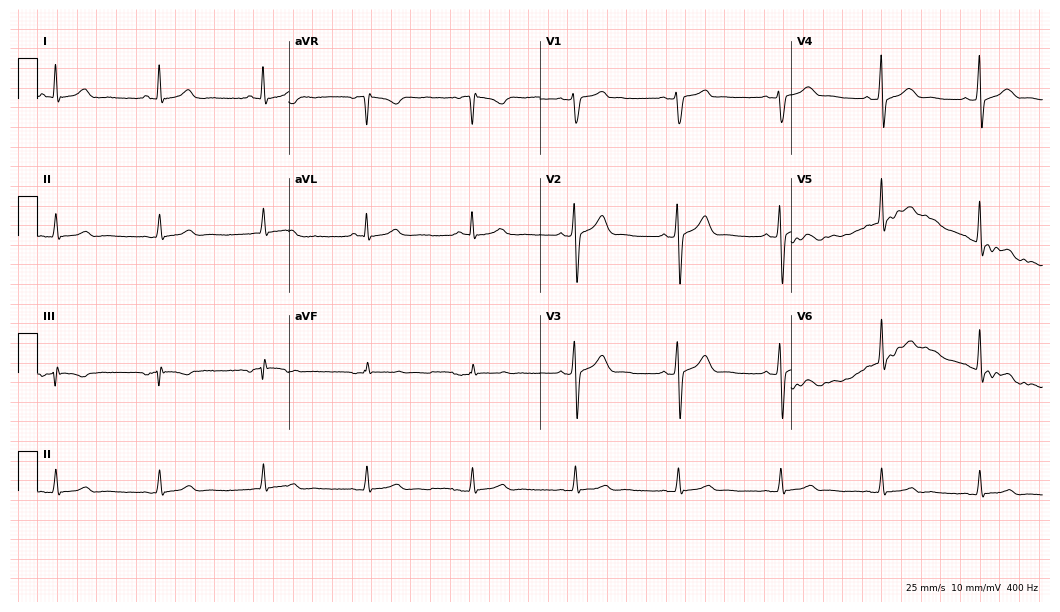
12-lead ECG from an 89-year-old female patient (10.2-second recording at 400 Hz). Recorded interpretation: within normal limits.